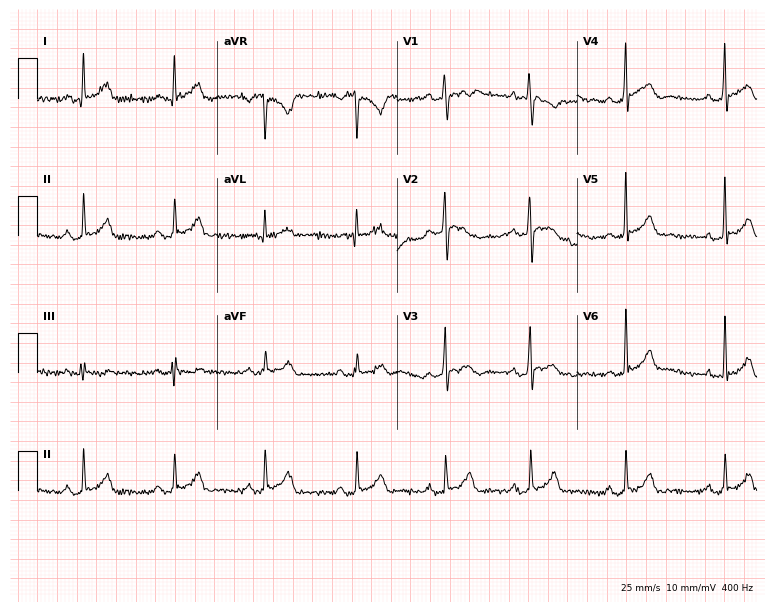
12-lead ECG (7.3-second recording at 400 Hz) from a man, 30 years old. Screened for six findings — first-degree AV block, right bundle branch block, left bundle branch block, sinus bradycardia, atrial fibrillation, sinus tachycardia — none is recorded. Findings outside these six are not listed.